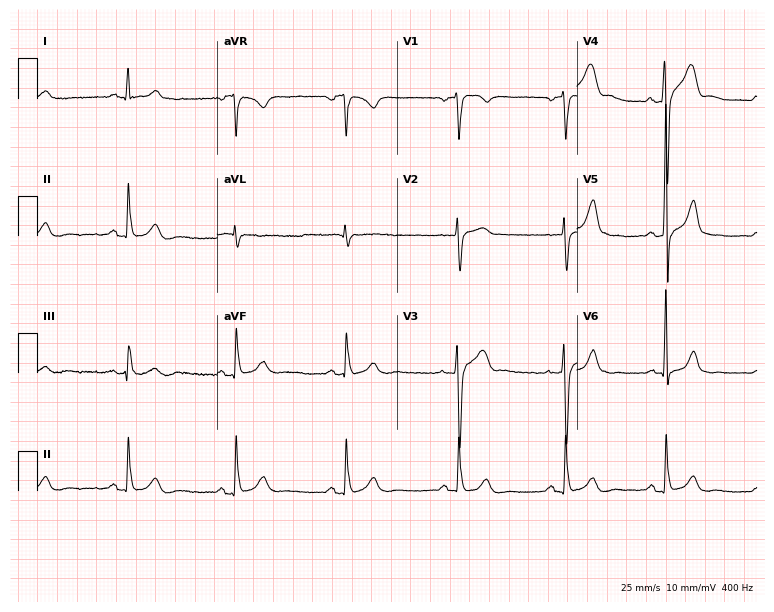
12-lead ECG (7.3-second recording at 400 Hz) from a female, 56 years old. Labelled as a normal ECG.